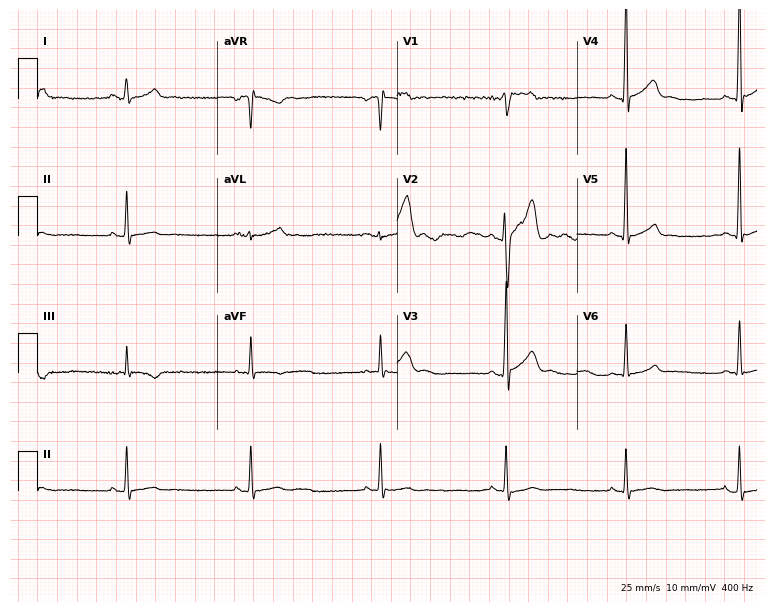
ECG (7.3-second recording at 400 Hz) — a 25-year-old male patient. Labelled as a normal ECG.